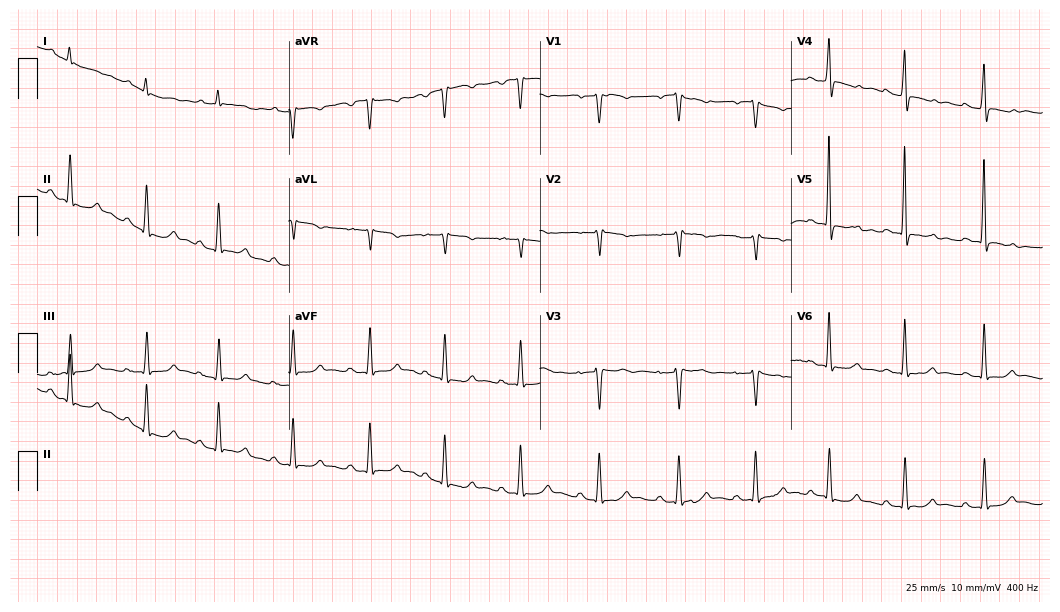
12-lead ECG from a 46-year-old woman. Screened for six findings — first-degree AV block, right bundle branch block, left bundle branch block, sinus bradycardia, atrial fibrillation, sinus tachycardia — none is recorded.